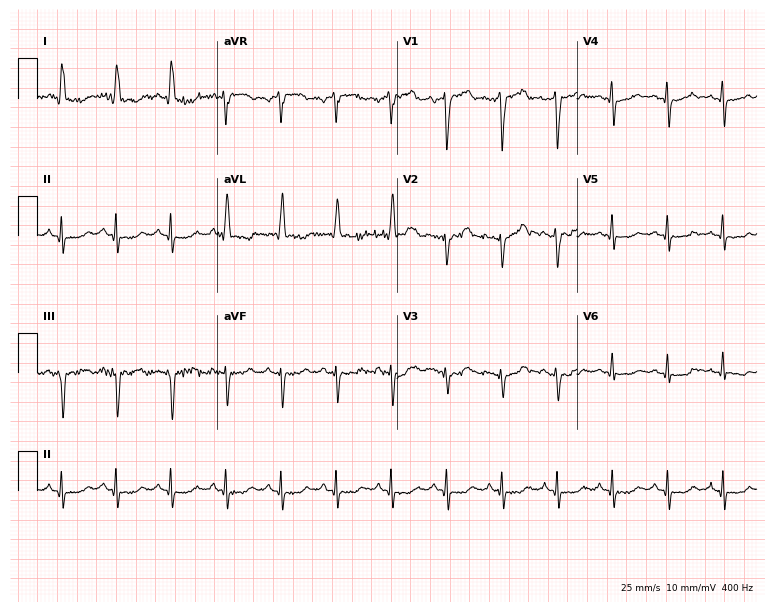
ECG — a 63-year-old woman. Findings include sinus tachycardia (a sinus rate of 100 beats per minute or more).